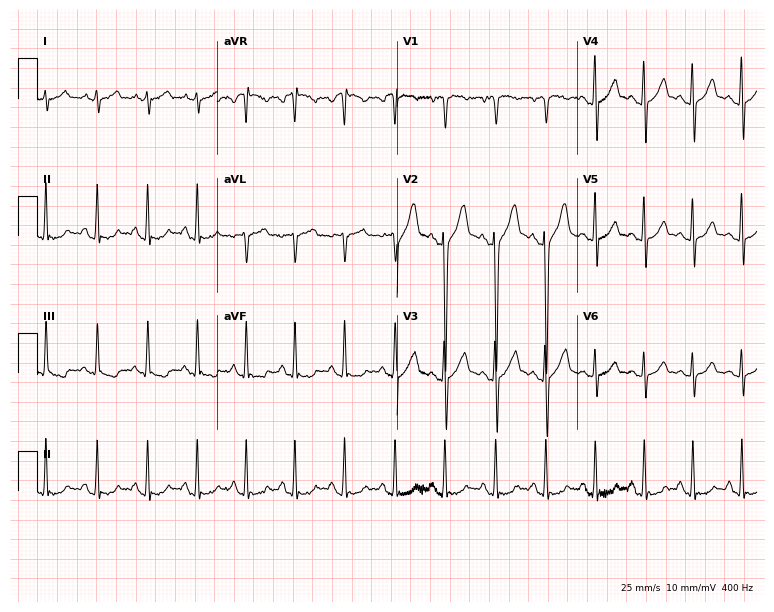
Electrocardiogram, a male, 19 years old. Interpretation includes sinus tachycardia (a sinus rate of 100 beats per minute or more).